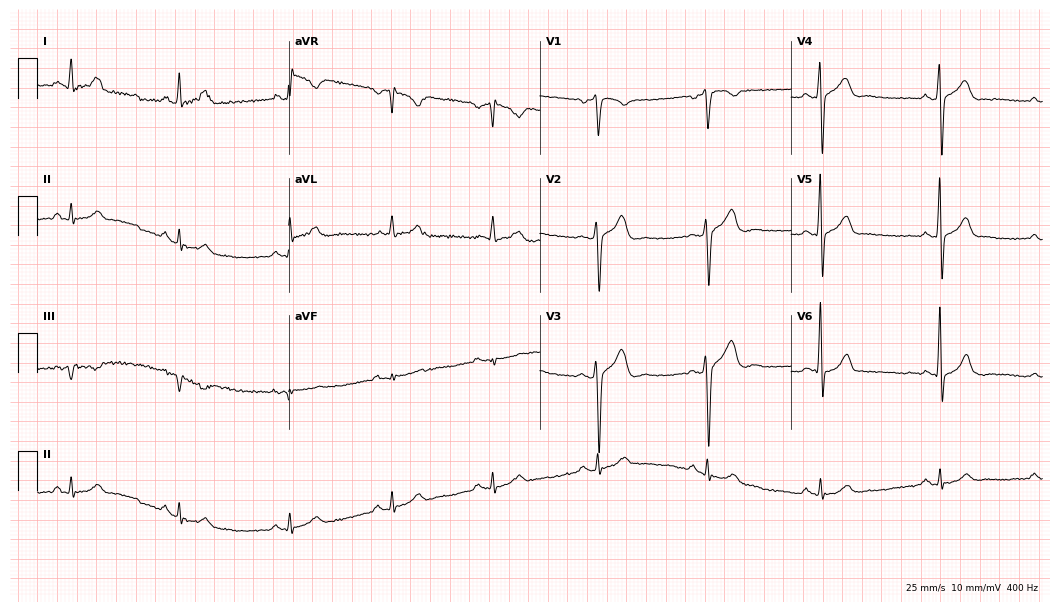
Standard 12-lead ECG recorded from a 39-year-old man. Read as a normal ECG.